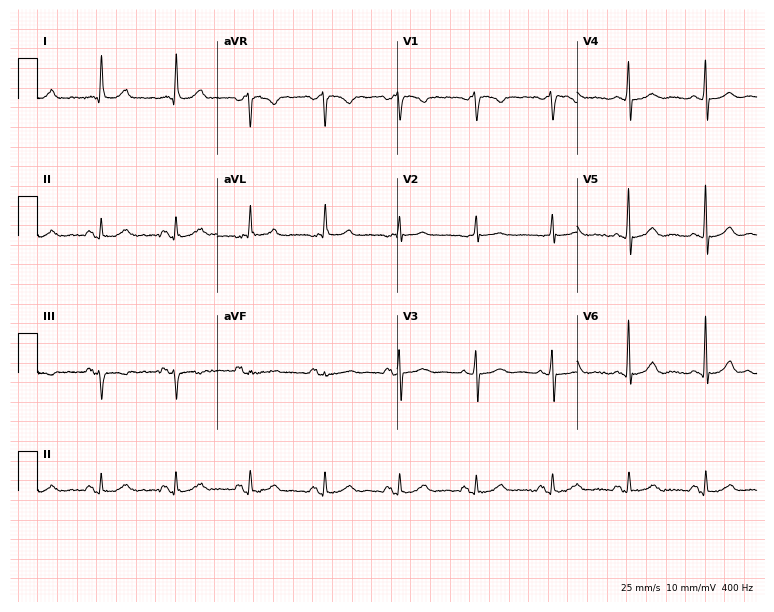
Electrocardiogram (7.3-second recording at 400 Hz), a 76-year-old man. Overall reading on record: normal ECG.